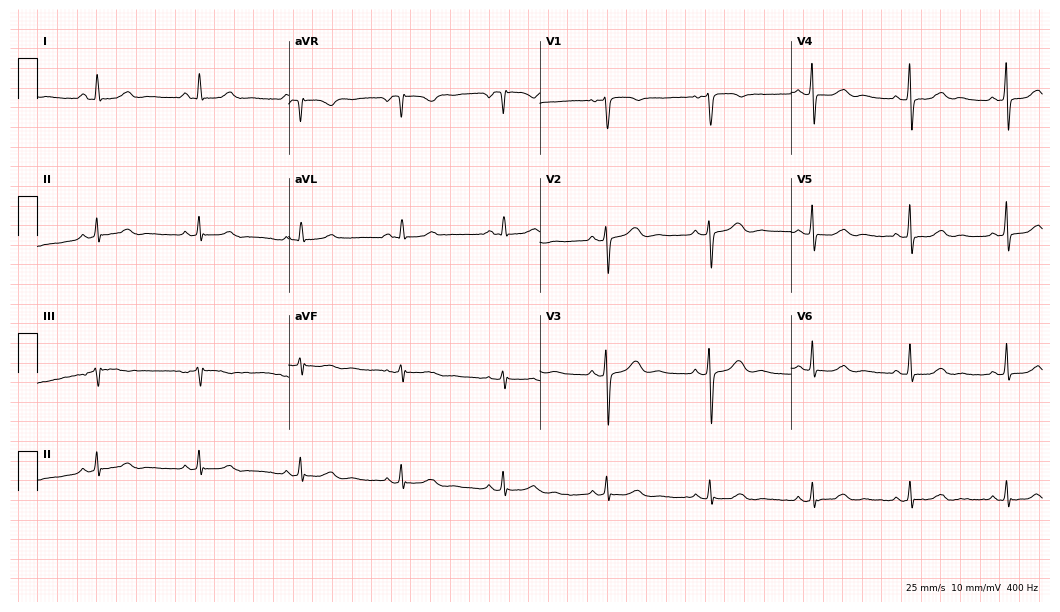
Resting 12-lead electrocardiogram. Patient: a 66-year-old female. Read as a normal ECG.